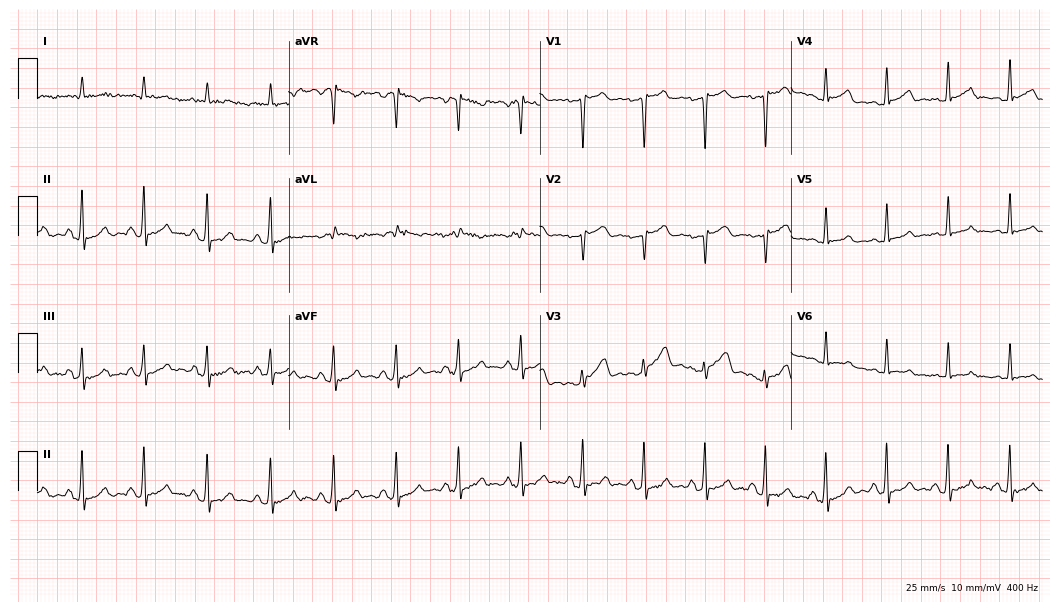
Standard 12-lead ECG recorded from a 54-year-old male. Read as a normal ECG.